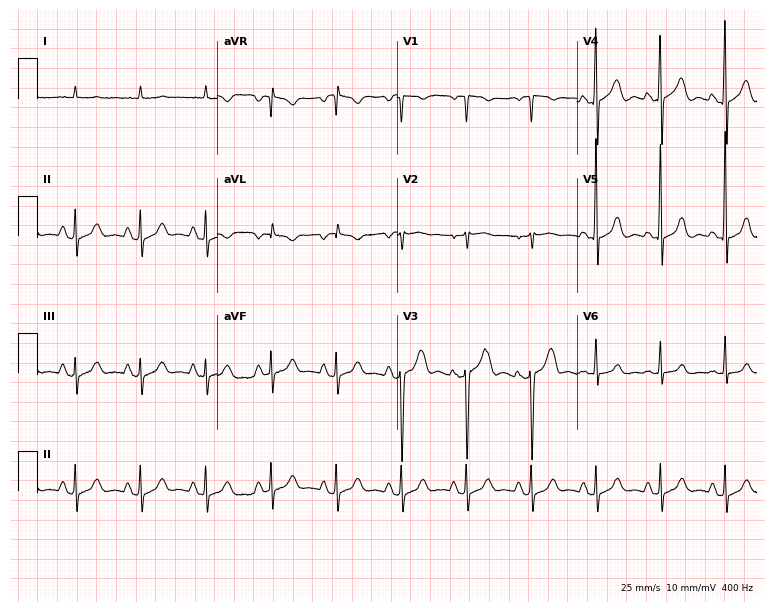
12-lead ECG (7.3-second recording at 400 Hz) from a man, 79 years old. Labelled as a normal ECG.